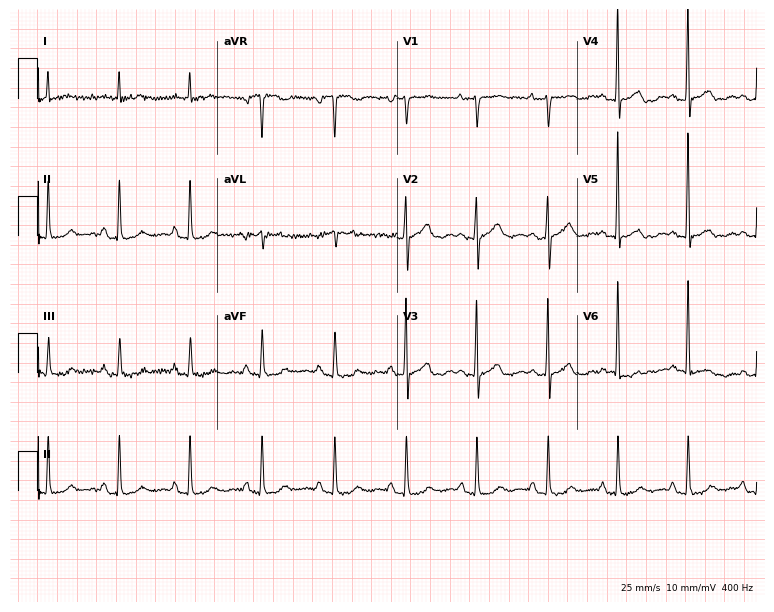
Resting 12-lead electrocardiogram (7.3-second recording at 400 Hz). Patient: a female, 71 years old. Read as a normal ECG.